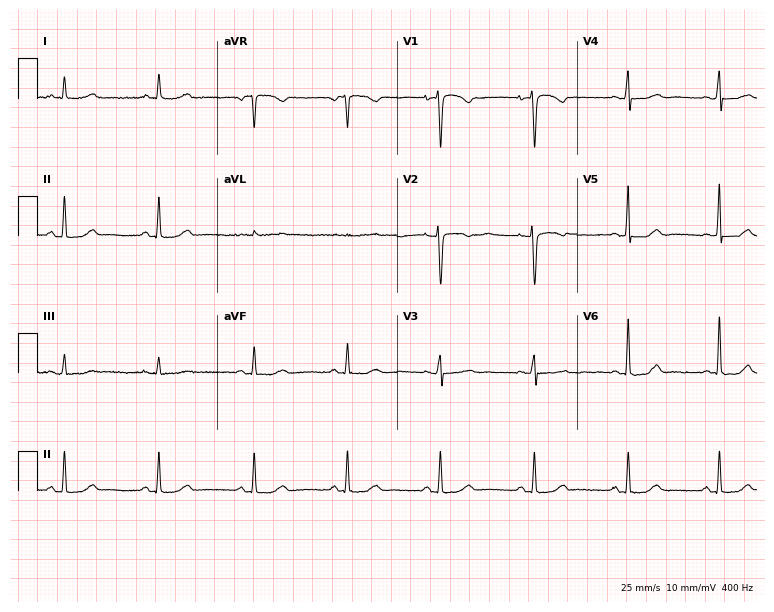
12-lead ECG from a woman, 70 years old. Labelled as a normal ECG.